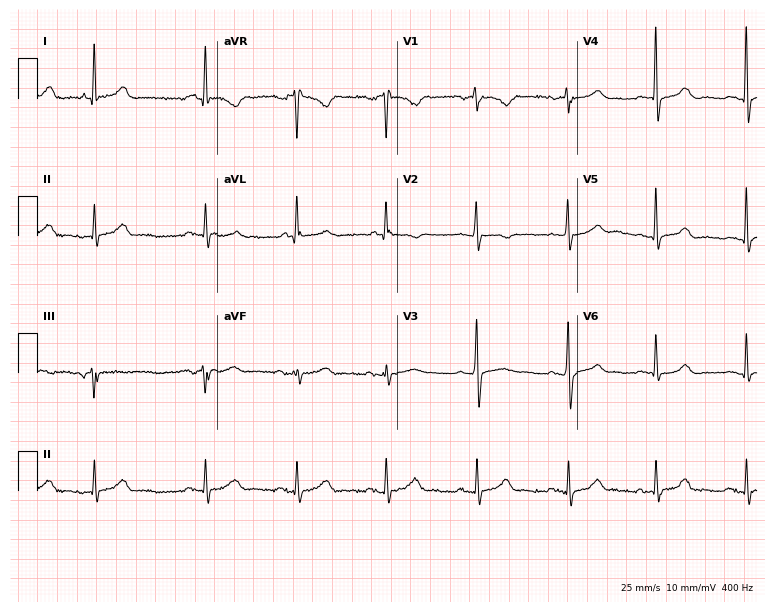
ECG (7.3-second recording at 400 Hz) — a female patient, 62 years old. Screened for six findings — first-degree AV block, right bundle branch block, left bundle branch block, sinus bradycardia, atrial fibrillation, sinus tachycardia — none is recorded. Other findings, if any, are not listed.